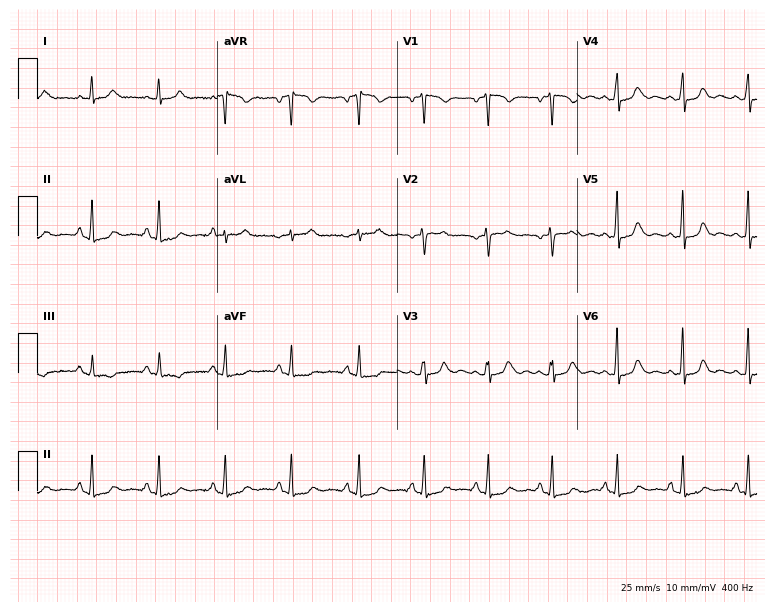
12-lead ECG (7.3-second recording at 400 Hz) from a woman, 48 years old. Screened for six findings — first-degree AV block, right bundle branch block, left bundle branch block, sinus bradycardia, atrial fibrillation, sinus tachycardia — none is recorded. Other findings, if any, are not listed.